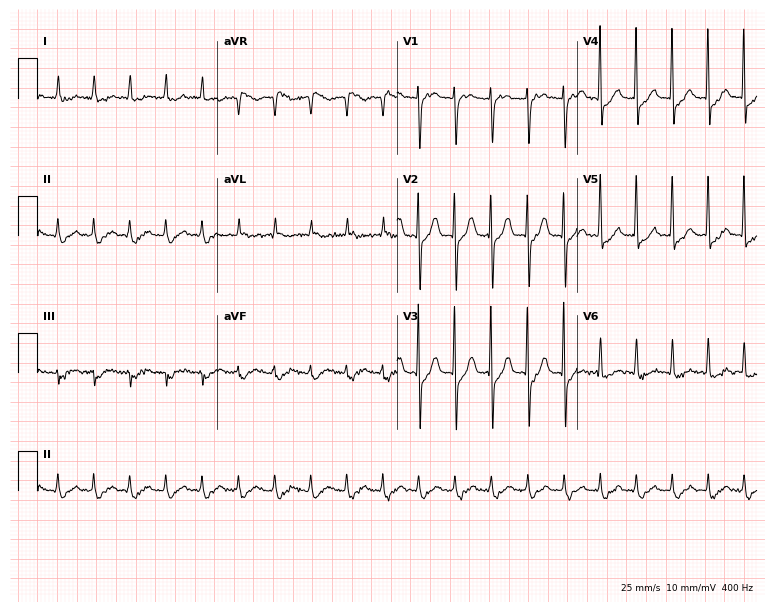
12-lead ECG (7.3-second recording at 400 Hz) from an 82-year-old woman. Findings include sinus tachycardia (a sinus rate of 100 beats per minute or more).